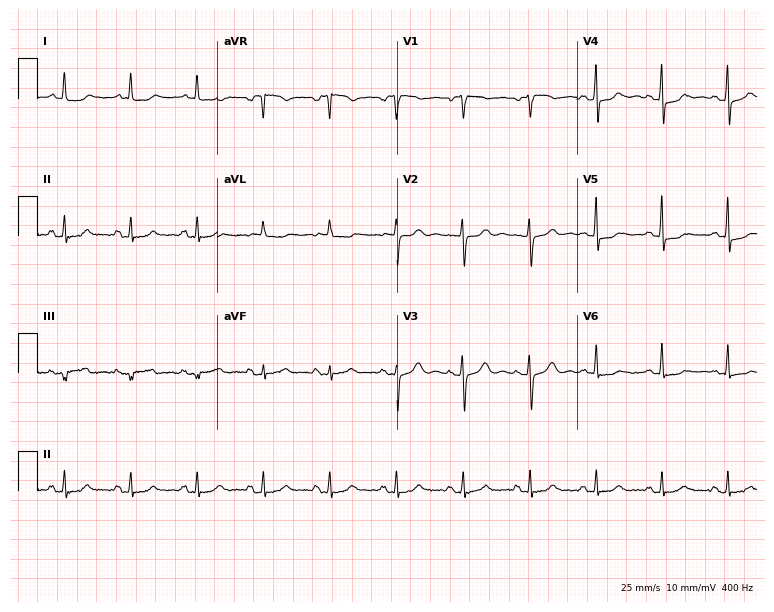
Standard 12-lead ECG recorded from a 75-year-old female. Read as a normal ECG.